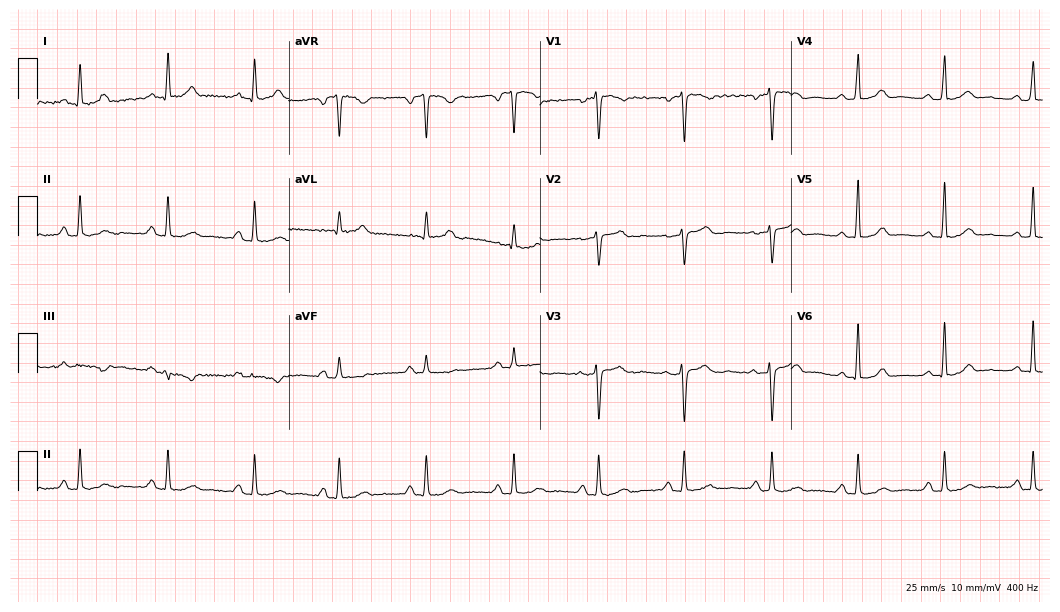
Standard 12-lead ECG recorded from a female patient, 48 years old (10.2-second recording at 400 Hz). Read as a normal ECG.